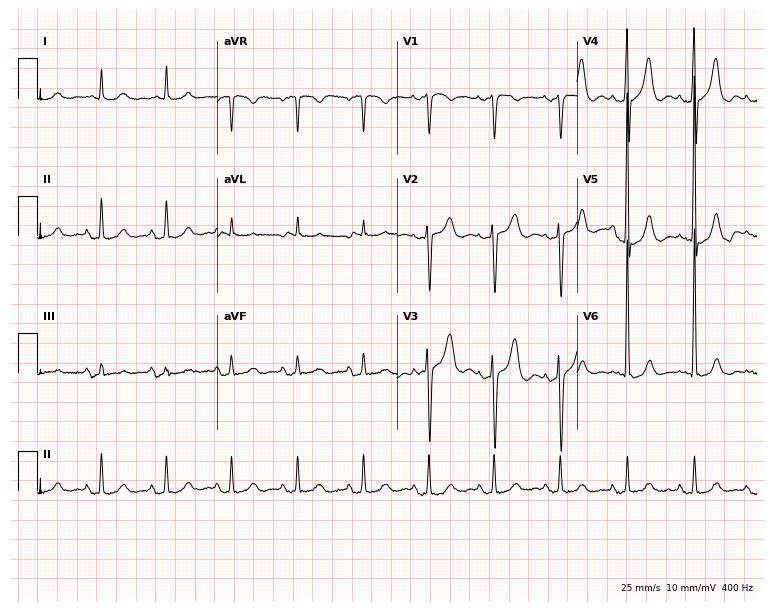
ECG (7.3-second recording at 400 Hz) — a 77-year-old man. Screened for six findings — first-degree AV block, right bundle branch block, left bundle branch block, sinus bradycardia, atrial fibrillation, sinus tachycardia — none is recorded. Other findings, if any, are not listed.